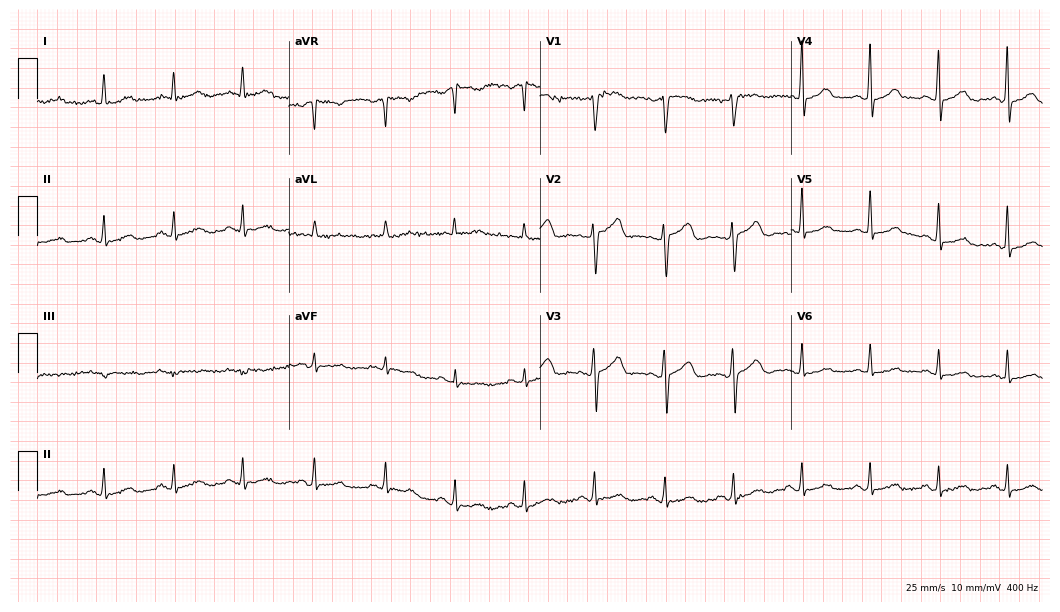
Standard 12-lead ECG recorded from a male patient, 56 years old. Read as a normal ECG.